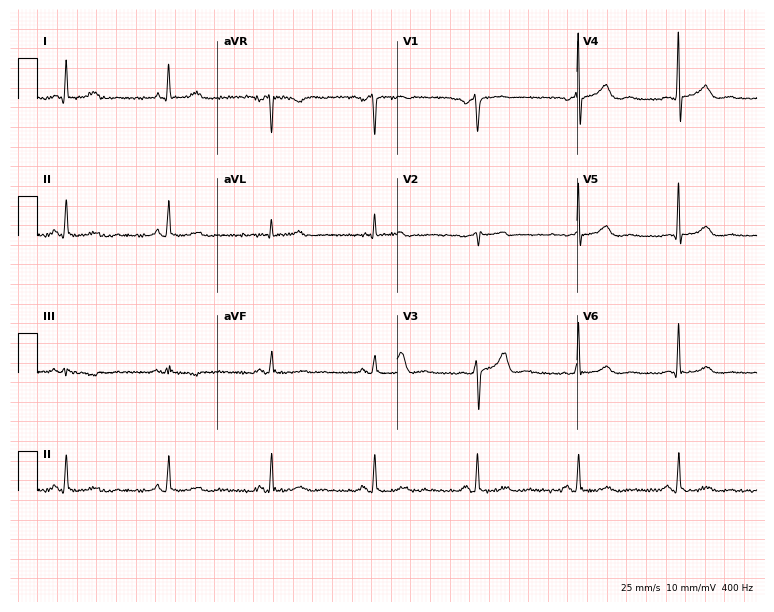
12-lead ECG from a male, 60 years old. Labelled as a normal ECG.